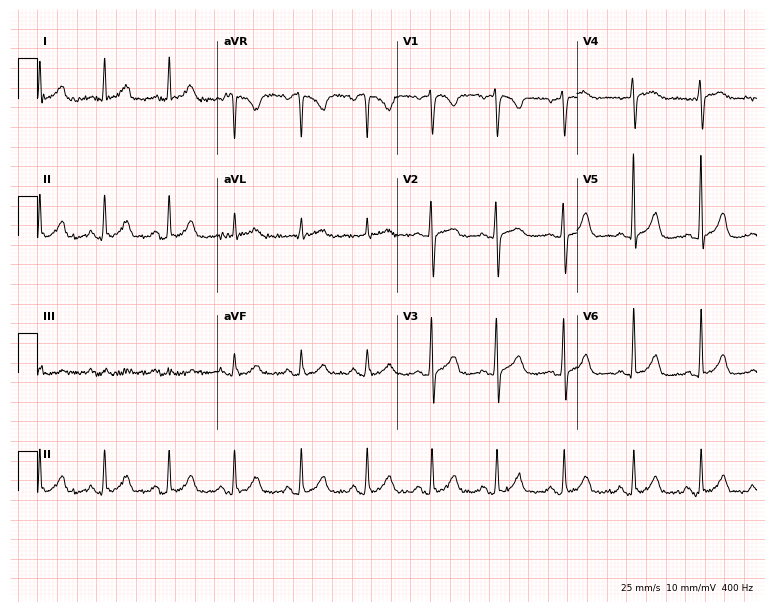
12-lead ECG from a 49-year-old female. Labelled as a normal ECG.